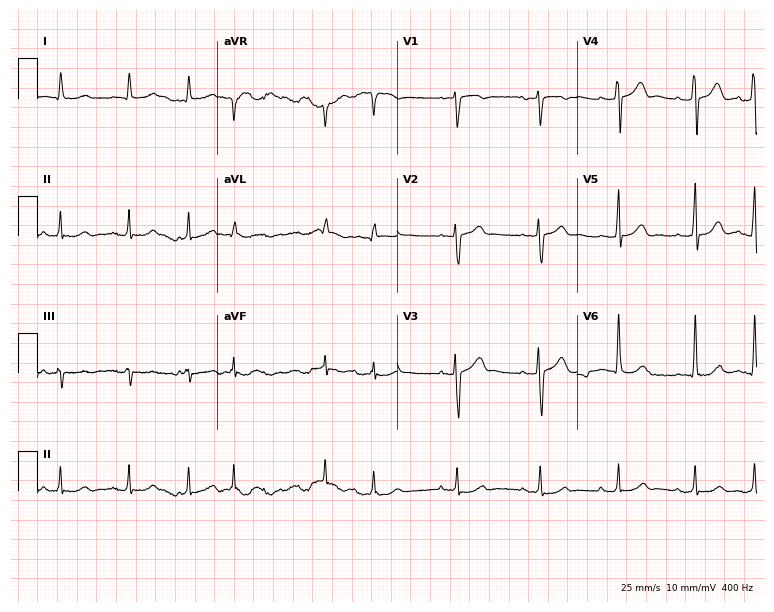
Standard 12-lead ECG recorded from an 86-year-old male patient (7.3-second recording at 400 Hz). None of these six findings is recorded: first-degree AV block, right bundle branch block, left bundle branch block, sinus bradycardia, atrial fibrillation, sinus tachycardia.